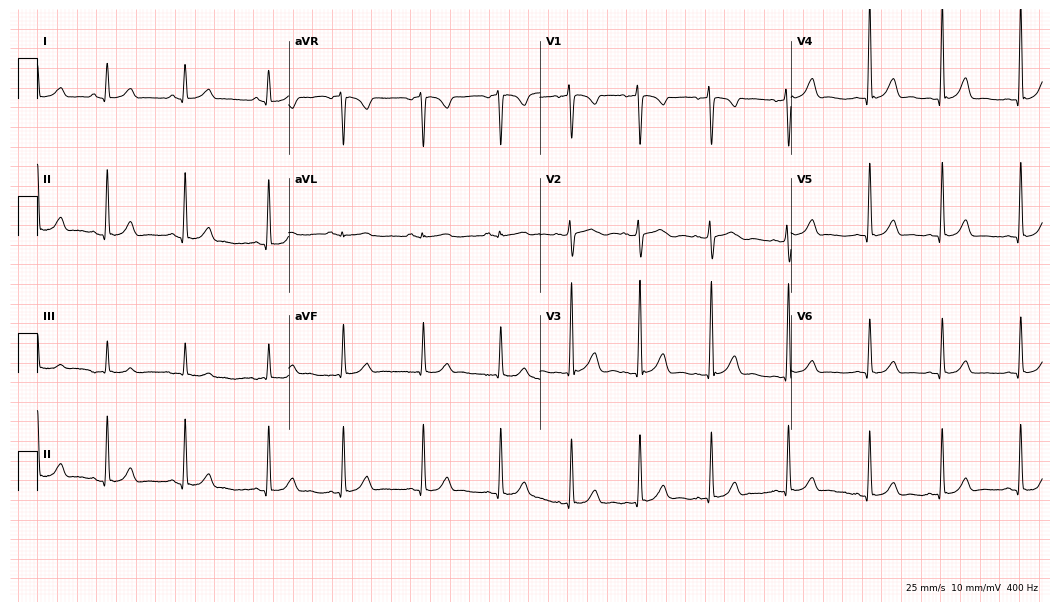
12-lead ECG from a woman, 25 years old. Recorded interpretation: within normal limits.